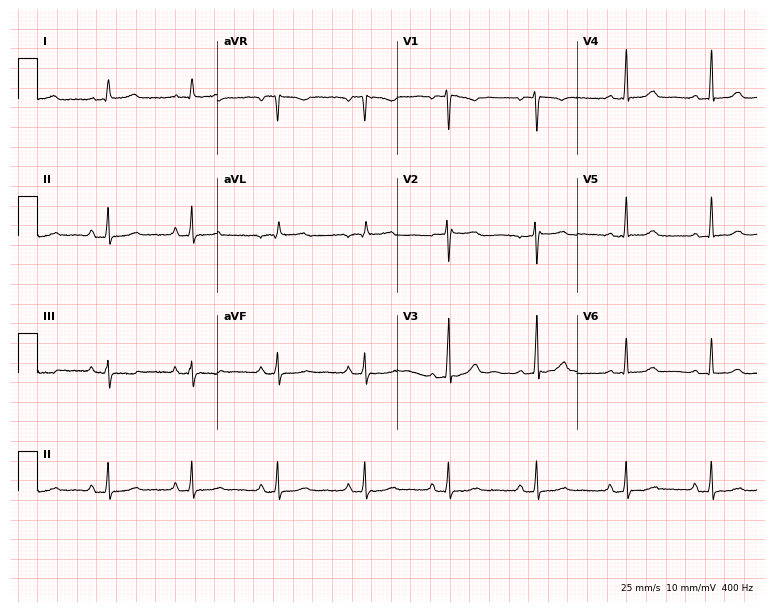
12-lead ECG from a 36-year-old female. Recorded interpretation: within normal limits.